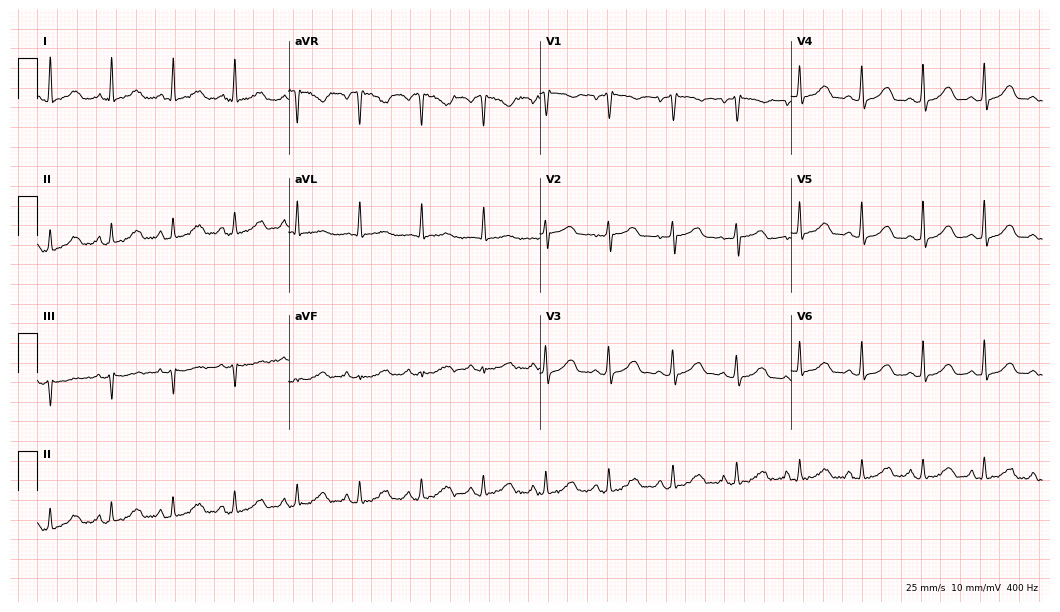
12-lead ECG from a 49-year-old female. Recorded interpretation: within normal limits.